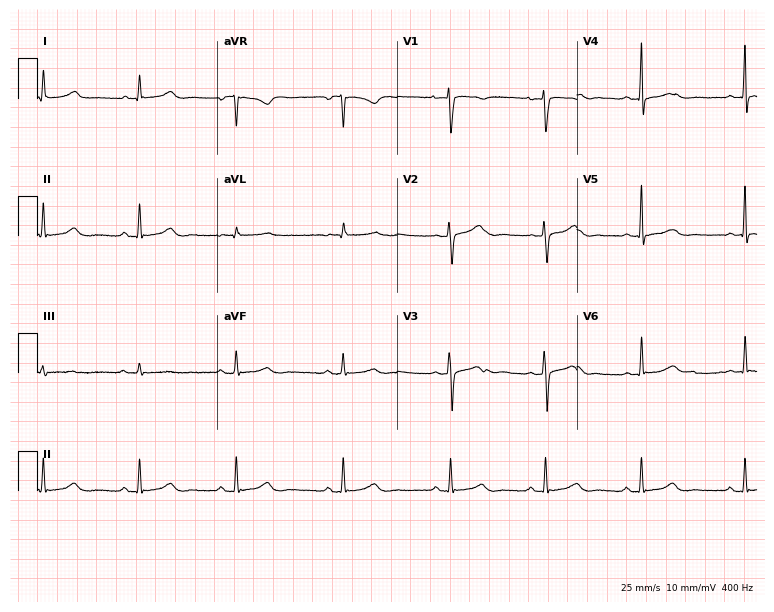
ECG — a 41-year-old female patient. Labelled as a normal ECG.